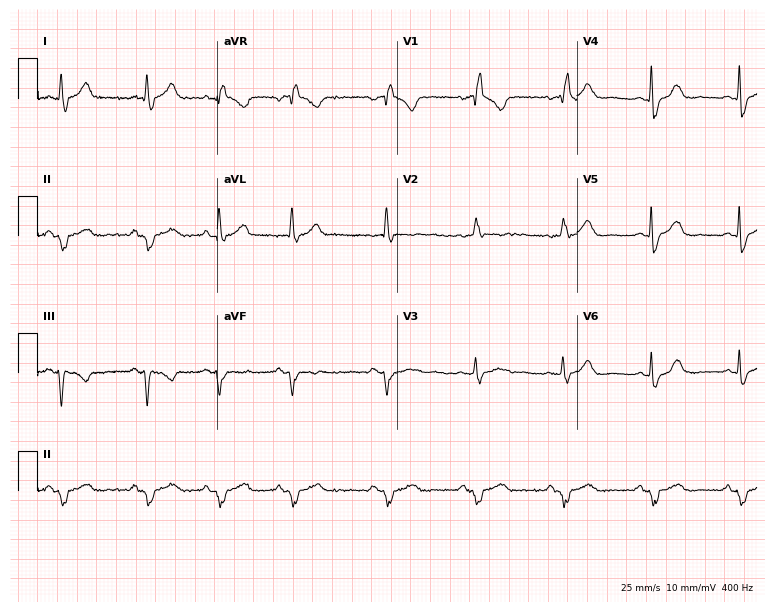
12-lead ECG from a 48-year-old female patient. Shows right bundle branch block.